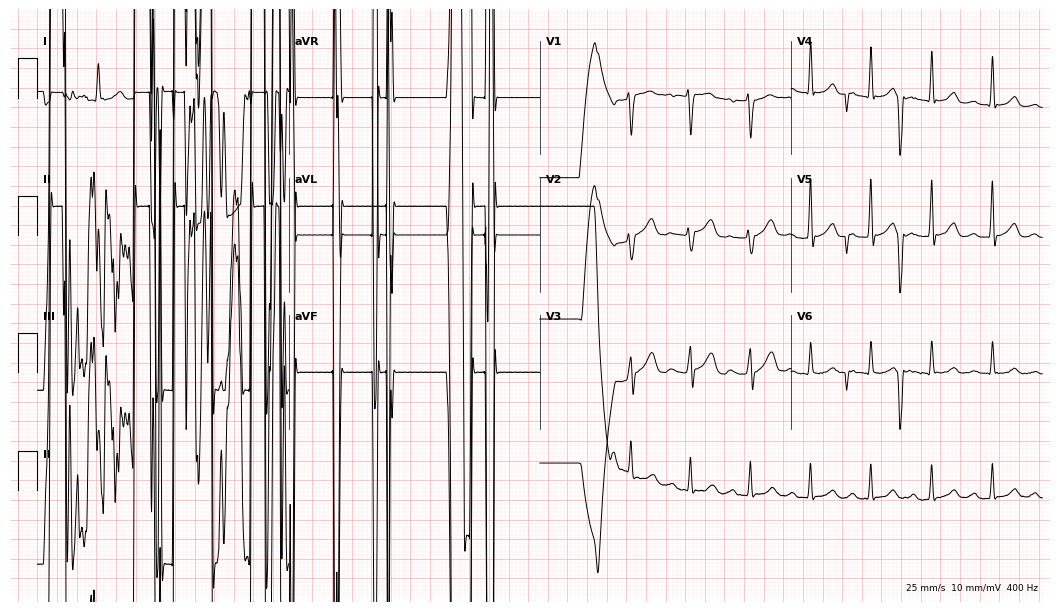
Electrocardiogram, a male patient, 49 years old. Of the six screened findings (first-degree AV block, right bundle branch block (RBBB), left bundle branch block (LBBB), sinus bradycardia, atrial fibrillation (AF), sinus tachycardia), none is recorded. Other findings, if any, are not listed.